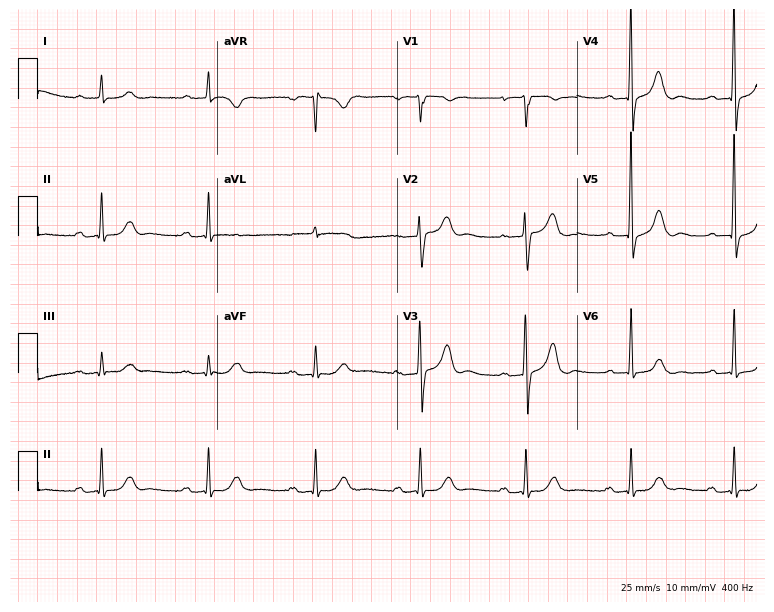
Standard 12-lead ECG recorded from a 77-year-old male (7.3-second recording at 400 Hz). None of these six findings is recorded: first-degree AV block, right bundle branch block (RBBB), left bundle branch block (LBBB), sinus bradycardia, atrial fibrillation (AF), sinus tachycardia. Findings outside these six are not listed.